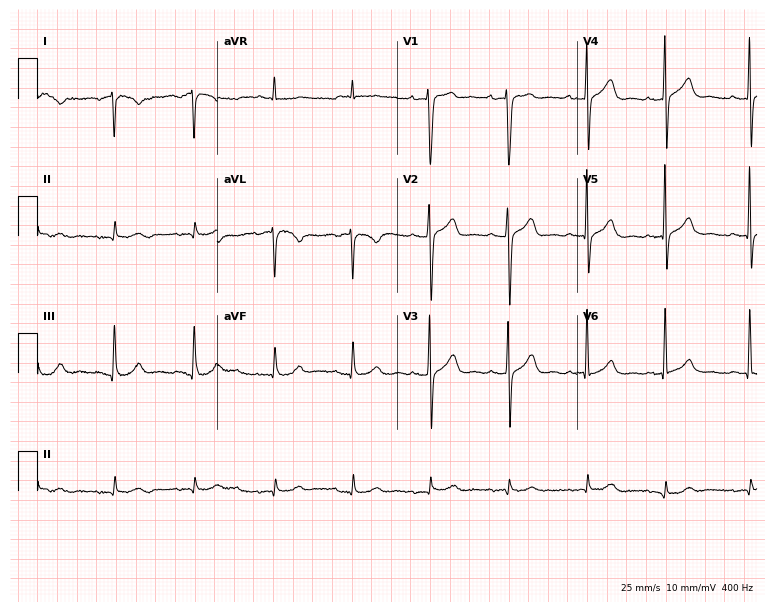
Electrocardiogram (7.3-second recording at 400 Hz), a 37-year-old man. Of the six screened findings (first-degree AV block, right bundle branch block, left bundle branch block, sinus bradycardia, atrial fibrillation, sinus tachycardia), none is recorded. Other findings, if any, are not listed.